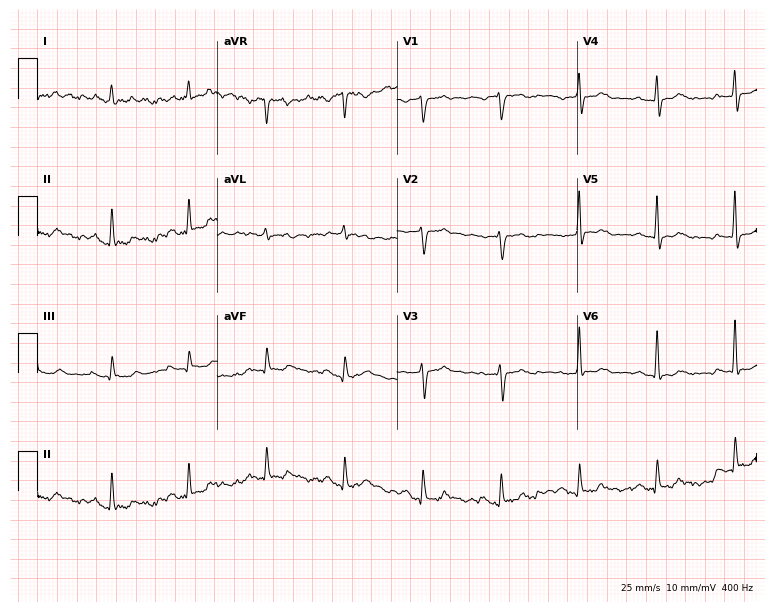
Electrocardiogram (7.3-second recording at 400 Hz), a 75-year-old male. Of the six screened findings (first-degree AV block, right bundle branch block, left bundle branch block, sinus bradycardia, atrial fibrillation, sinus tachycardia), none is recorded.